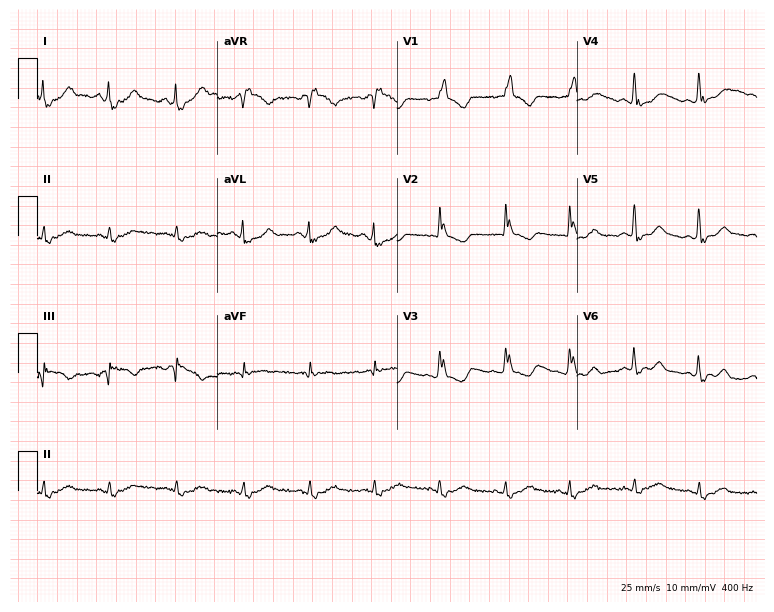
Standard 12-lead ECG recorded from an 82-year-old man (7.3-second recording at 400 Hz). The tracing shows right bundle branch block.